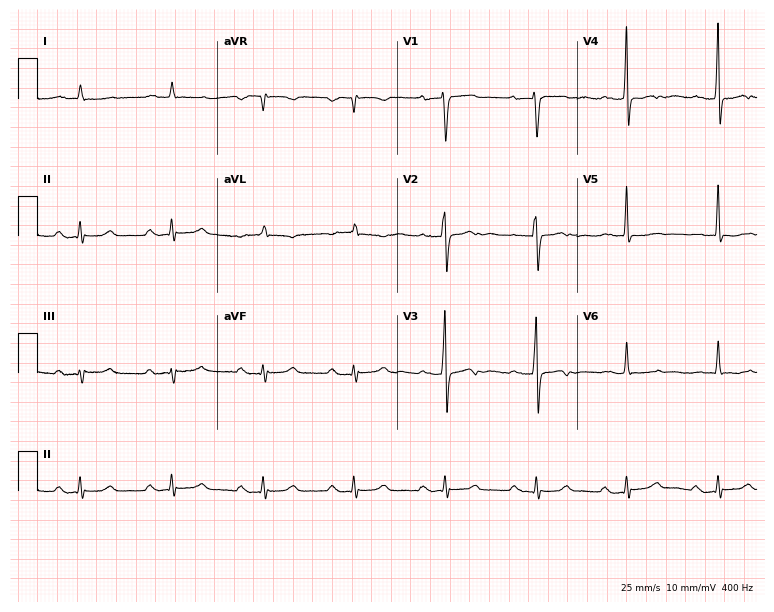
Electrocardiogram, a 62-year-old male. Interpretation includes first-degree AV block.